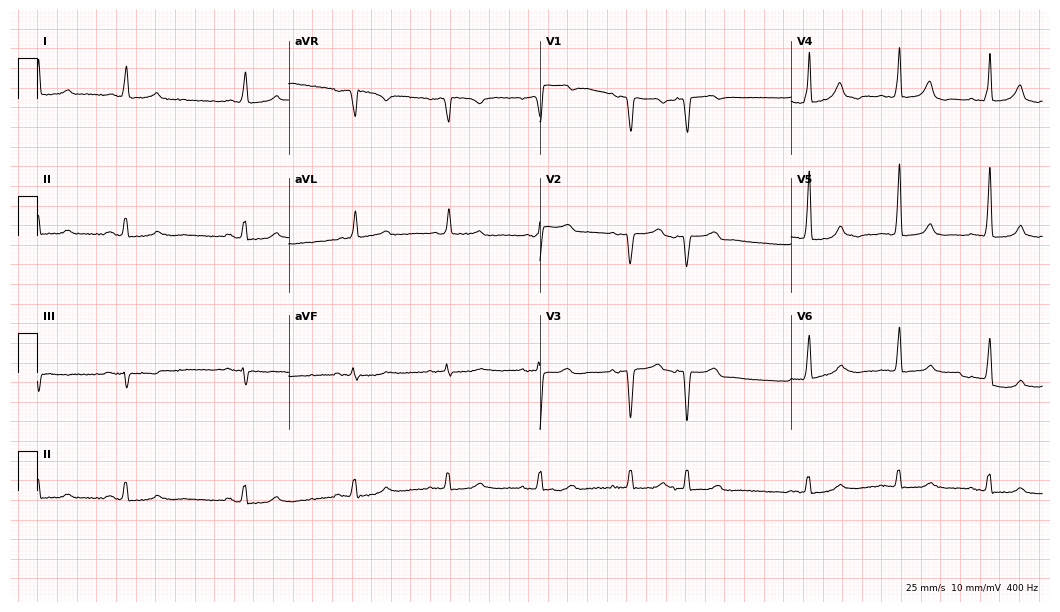
Standard 12-lead ECG recorded from a 77-year-old woman (10.2-second recording at 400 Hz). None of these six findings is recorded: first-degree AV block, right bundle branch block, left bundle branch block, sinus bradycardia, atrial fibrillation, sinus tachycardia.